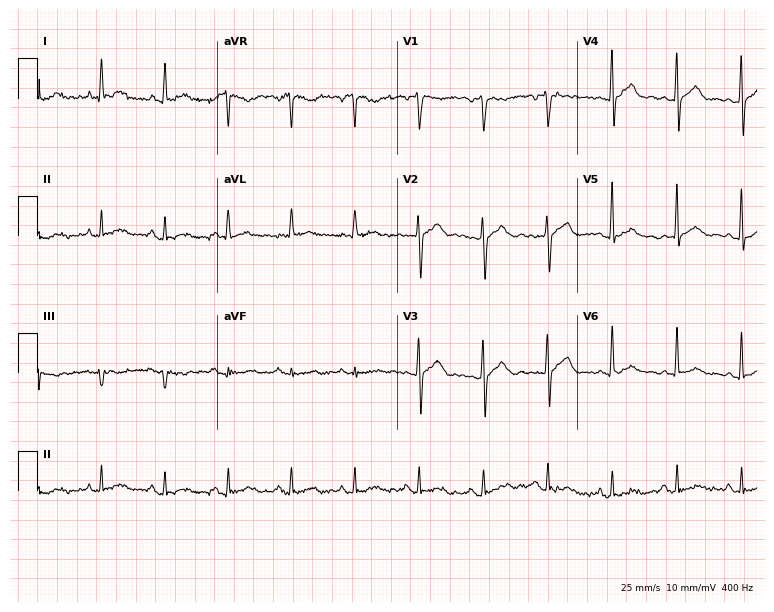
12-lead ECG from a 49-year-old male (7.3-second recording at 400 Hz). Recorded interpretation: within normal limits.